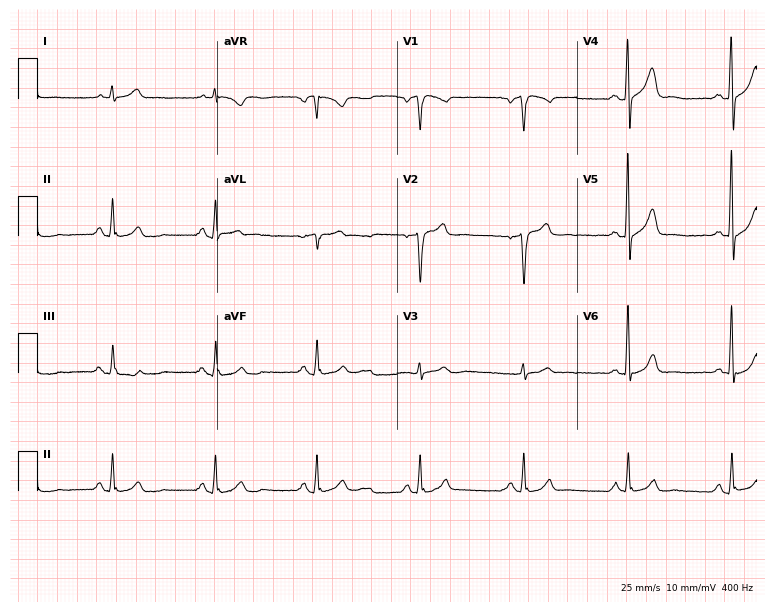
ECG — a 56-year-old male. Labelled as a normal ECG.